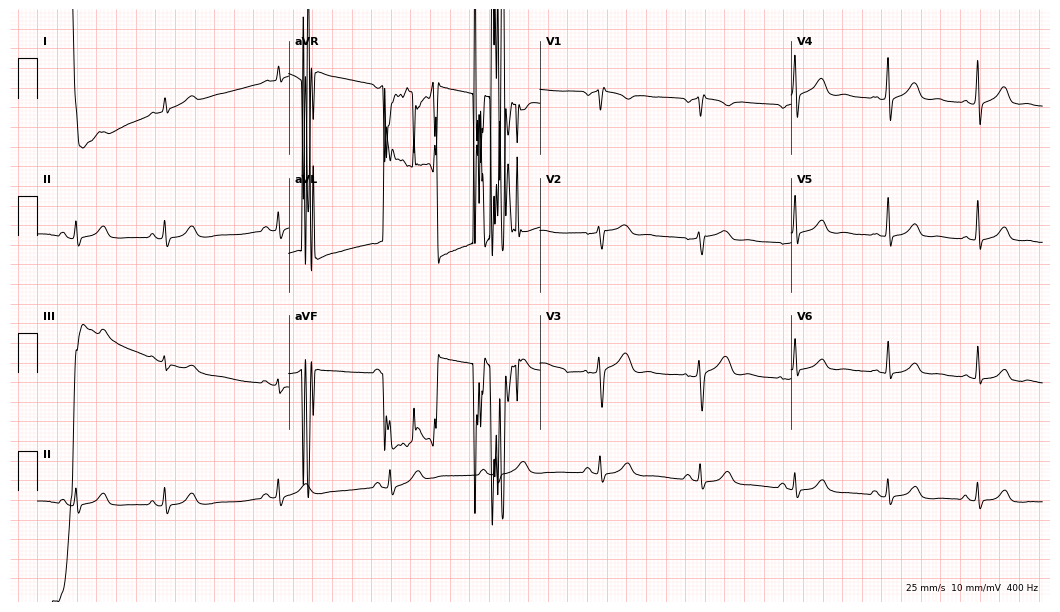
12-lead ECG from a 55-year-old male patient. Screened for six findings — first-degree AV block, right bundle branch block (RBBB), left bundle branch block (LBBB), sinus bradycardia, atrial fibrillation (AF), sinus tachycardia — none is recorded.